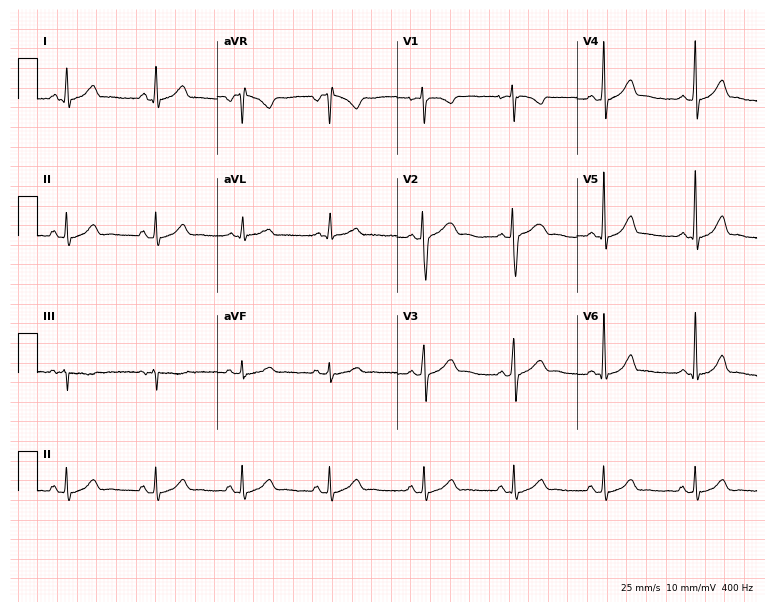
ECG — a female, 21 years old. Screened for six findings — first-degree AV block, right bundle branch block (RBBB), left bundle branch block (LBBB), sinus bradycardia, atrial fibrillation (AF), sinus tachycardia — none is recorded. Only these six findings were labelled.